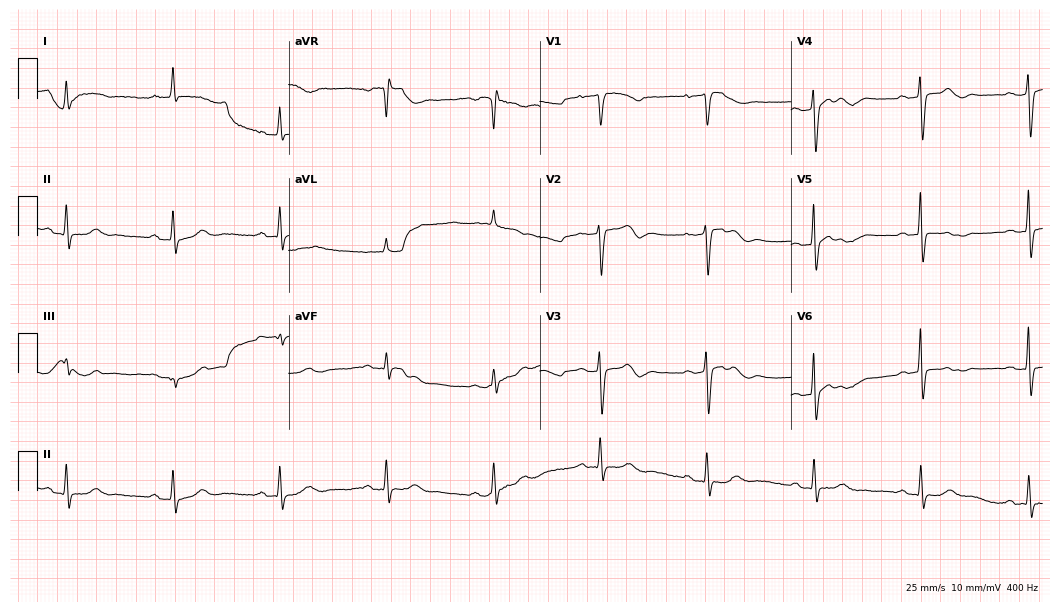
Standard 12-lead ECG recorded from a female, 84 years old (10.2-second recording at 400 Hz). The tracing shows first-degree AV block.